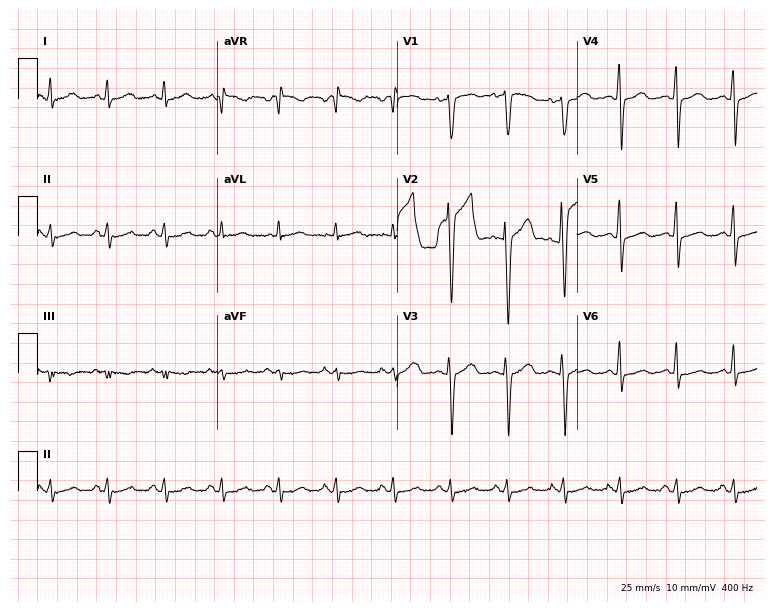
ECG — a man, 67 years old. Findings include sinus tachycardia (a sinus rate of 100 beats per minute or more).